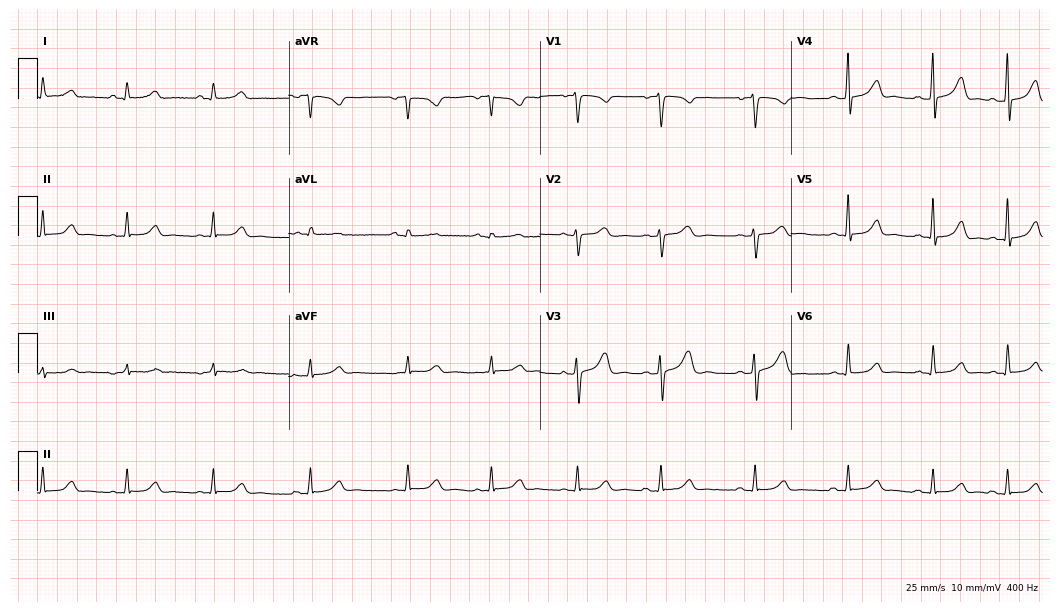
ECG (10.2-second recording at 400 Hz) — a female patient, 26 years old. Screened for six findings — first-degree AV block, right bundle branch block, left bundle branch block, sinus bradycardia, atrial fibrillation, sinus tachycardia — none is recorded.